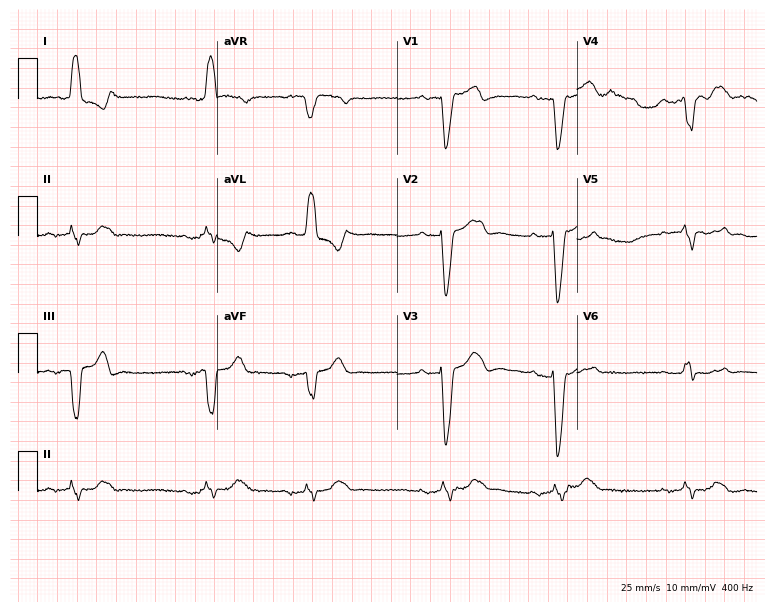
12-lead ECG from a woman, 84 years old. Shows left bundle branch block (LBBB).